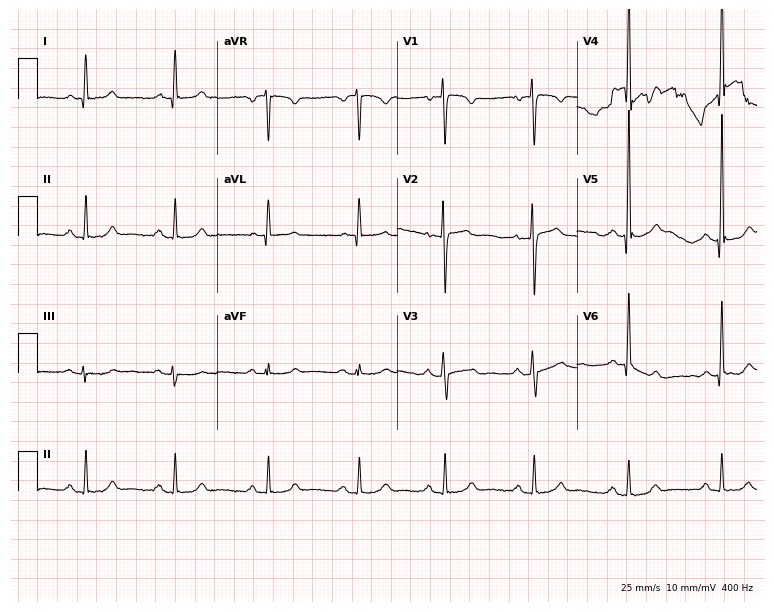
Standard 12-lead ECG recorded from a 53-year-old man (7.3-second recording at 400 Hz). Read as a normal ECG.